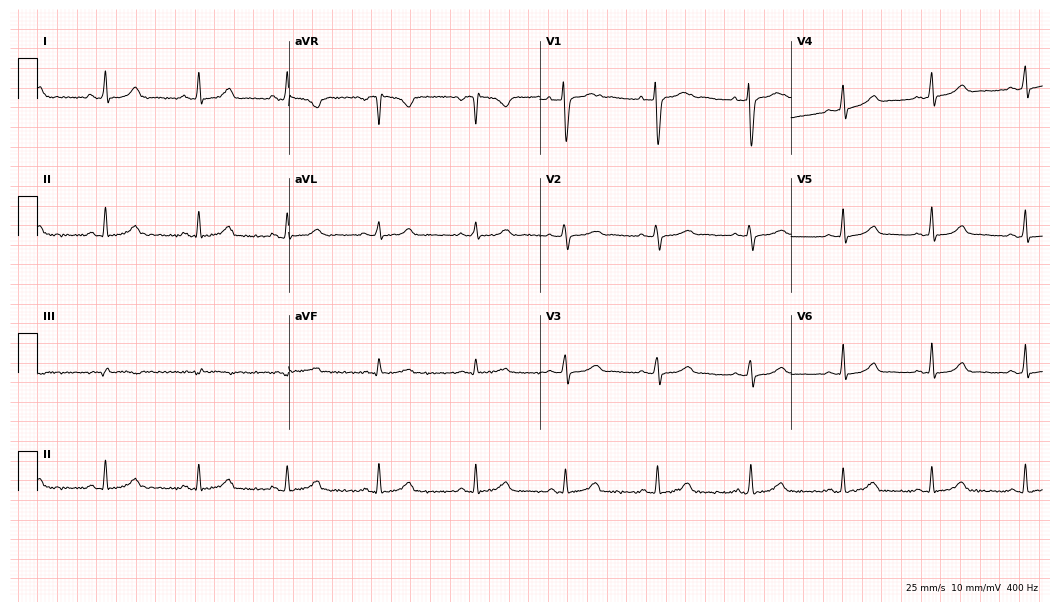
12-lead ECG from a woman, 50 years old (10.2-second recording at 400 Hz). Recorded interpretation: within normal limits.